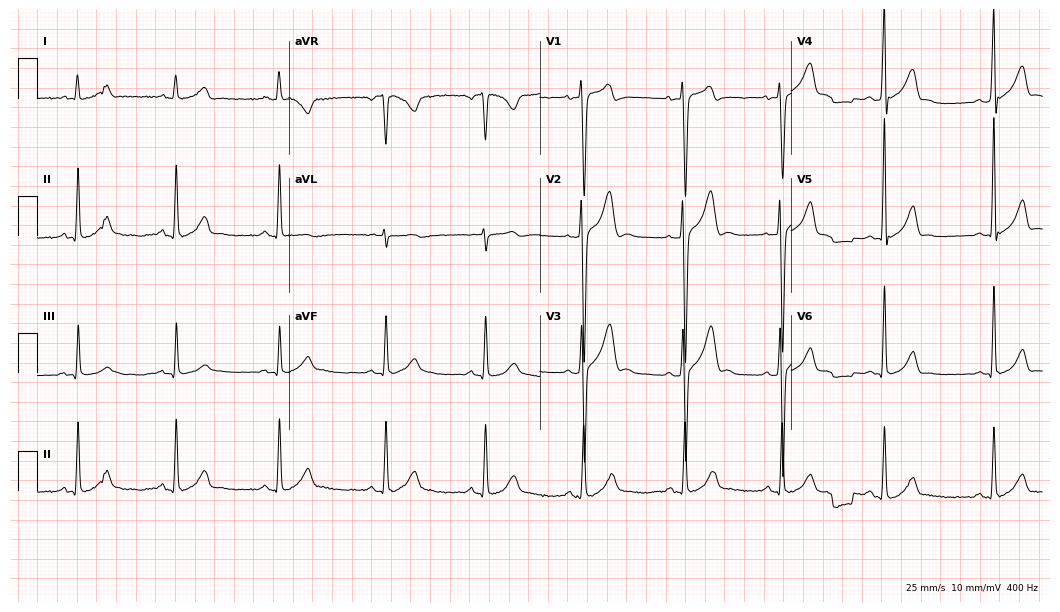
ECG (10.2-second recording at 400 Hz) — a 21-year-old male. Screened for six findings — first-degree AV block, right bundle branch block, left bundle branch block, sinus bradycardia, atrial fibrillation, sinus tachycardia — none is recorded. Findings outside these six are not listed.